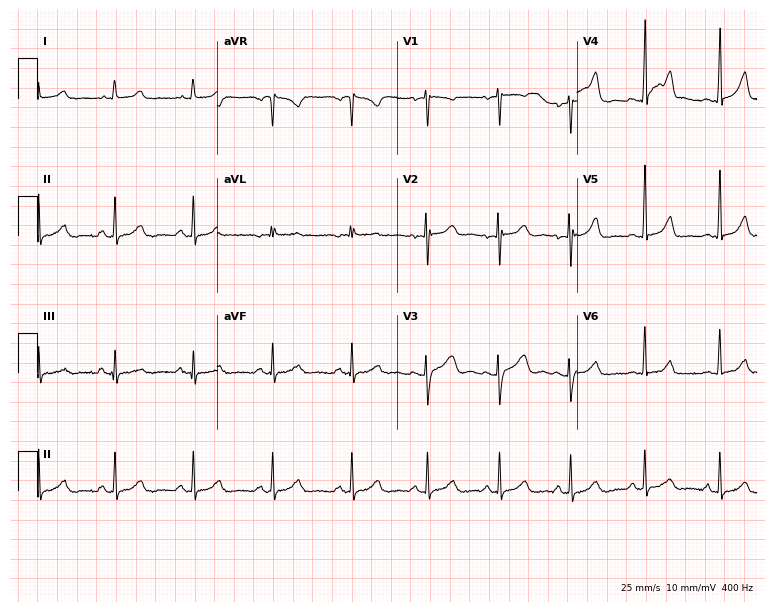
12-lead ECG from a 30-year-old female patient. Screened for six findings — first-degree AV block, right bundle branch block, left bundle branch block, sinus bradycardia, atrial fibrillation, sinus tachycardia — none is recorded.